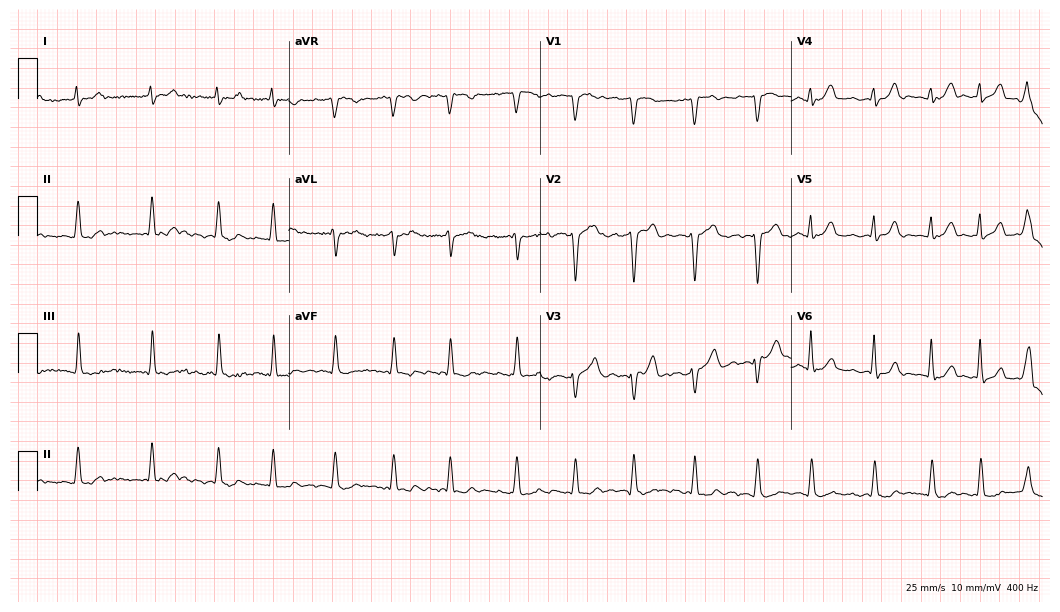
Standard 12-lead ECG recorded from a 74-year-old male patient. The tracing shows atrial fibrillation.